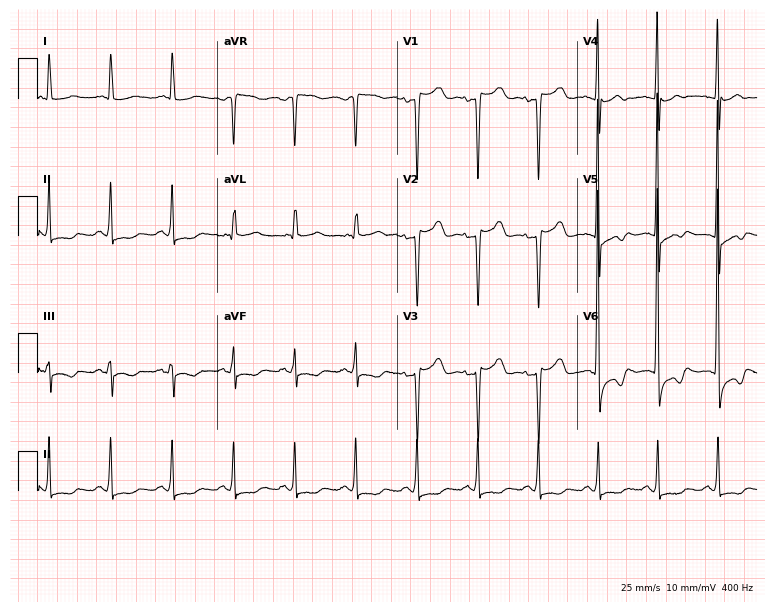
ECG (7.3-second recording at 400 Hz) — a 59-year-old female patient. Screened for six findings — first-degree AV block, right bundle branch block (RBBB), left bundle branch block (LBBB), sinus bradycardia, atrial fibrillation (AF), sinus tachycardia — none is recorded. Other findings, if any, are not listed.